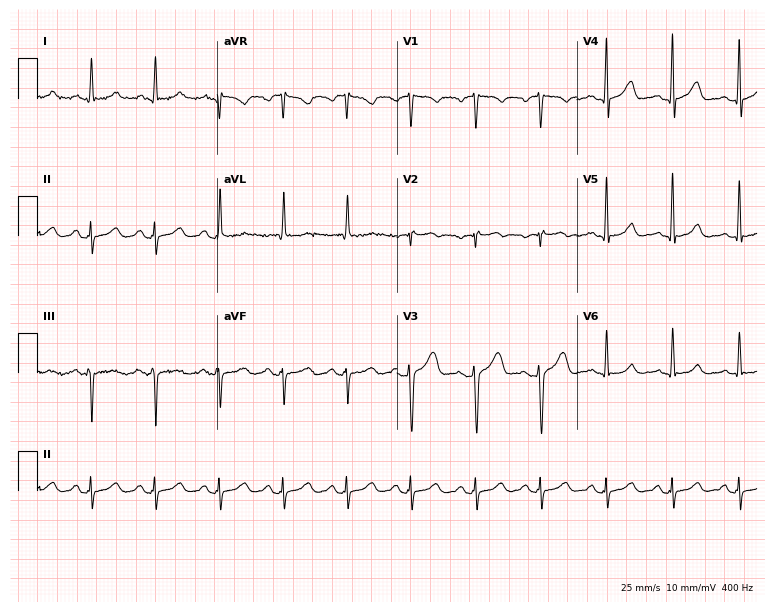
Electrocardiogram (7.3-second recording at 400 Hz), a woman, 52 years old. Of the six screened findings (first-degree AV block, right bundle branch block, left bundle branch block, sinus bradycardia, atrial fibrillation, sinus tachycardia), none is recorded.